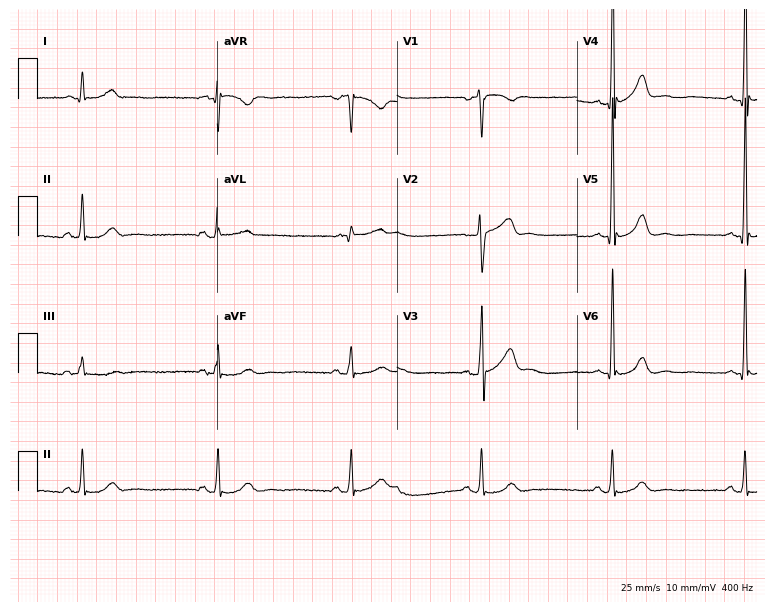
12-lead ECG from a 67-year-old male patient. Shows sinus bradycardia (a sinus rate of 50 beats per minute or less).